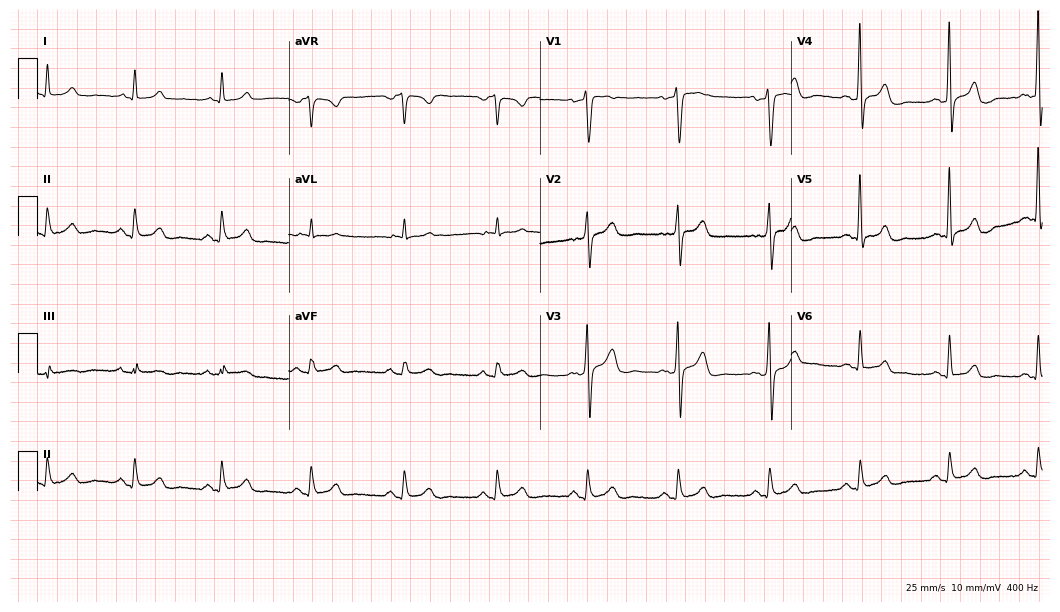
ECG (10.2-second recording at 400 Hz) — a man, 56 years old. Labelled as a normal ECG.